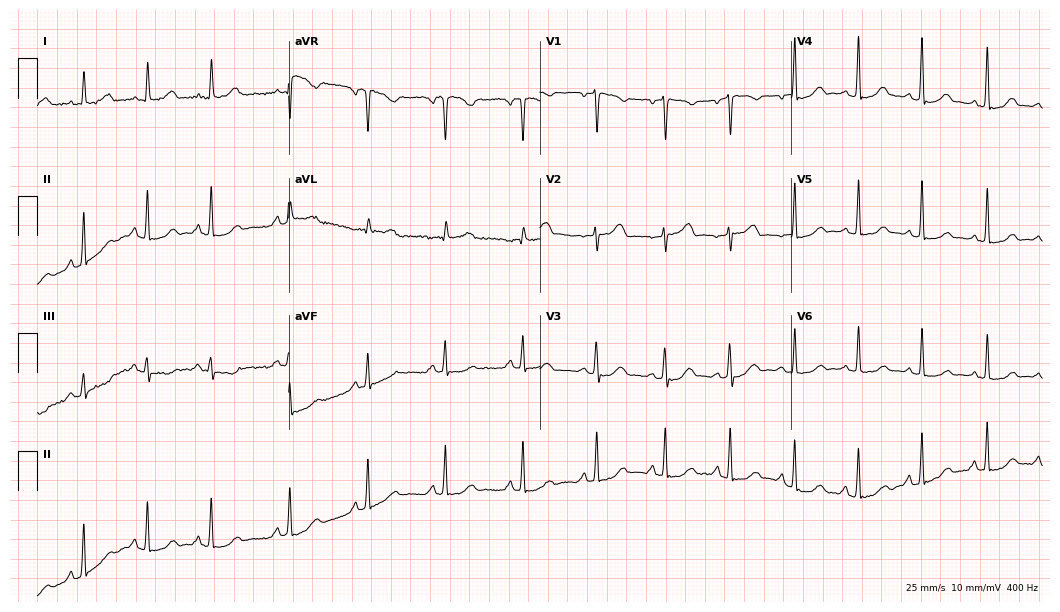
12-lead ECG from a 53-year-old female patient (10.2-second recording at 400 Hz). Recorded interpretation: within normal limits.